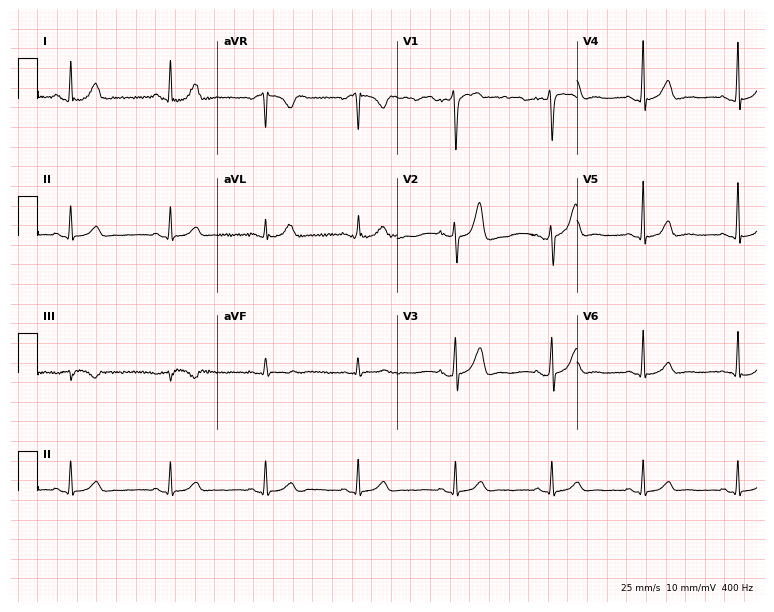
12-lead ECG (7.3-second recording at 400 Hz) from a male patient, 29 years old. Labelled as a normal ECG.